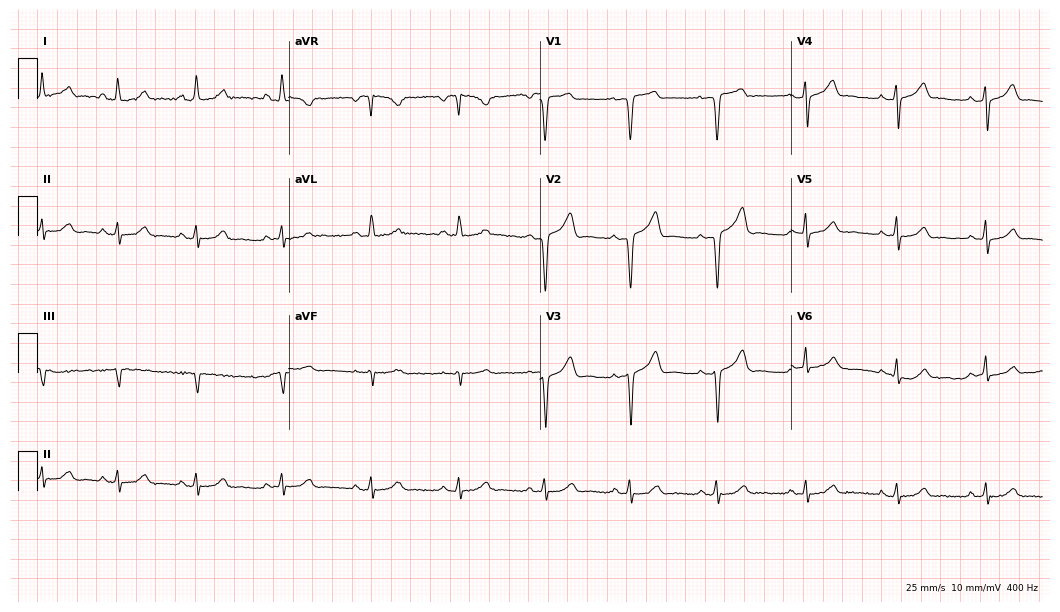
Standard 12-lead ECG recorded from a female patient, 38 years old. None of these six findings is recorded: first-degree AV block, right bundle branch block (RBBB), left bundle branch block (LBBB), sinus bradycardia, atrial fibrillation (AF), sinus tachycardia. Other findings, if any, are not listed.